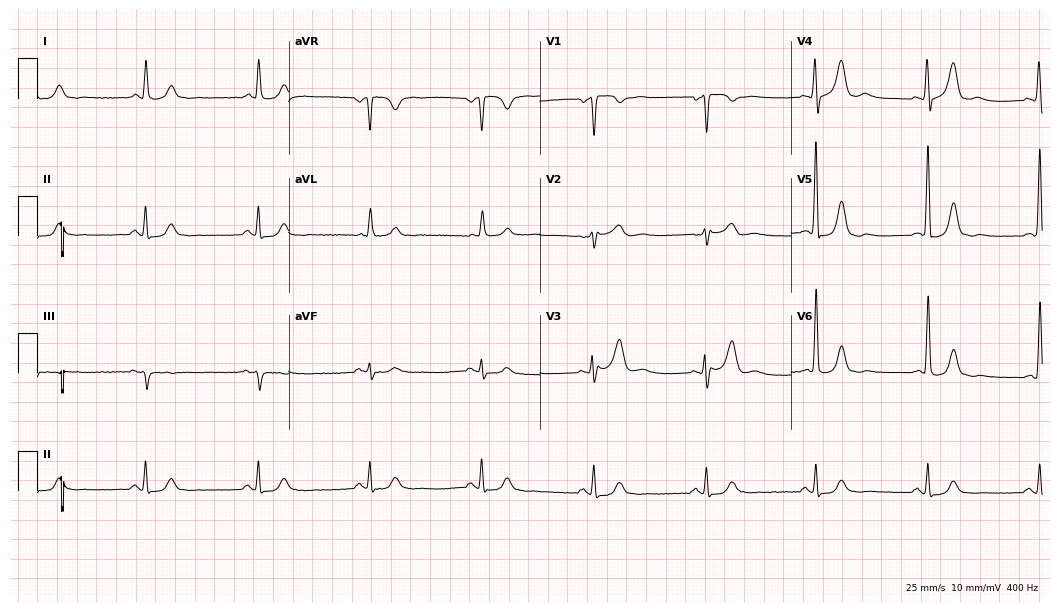
Resting 12-lead electrocardiogram (10.2-second recording at 400 Hz). Patient: a male, 76 years old. Read as a normal ECG.